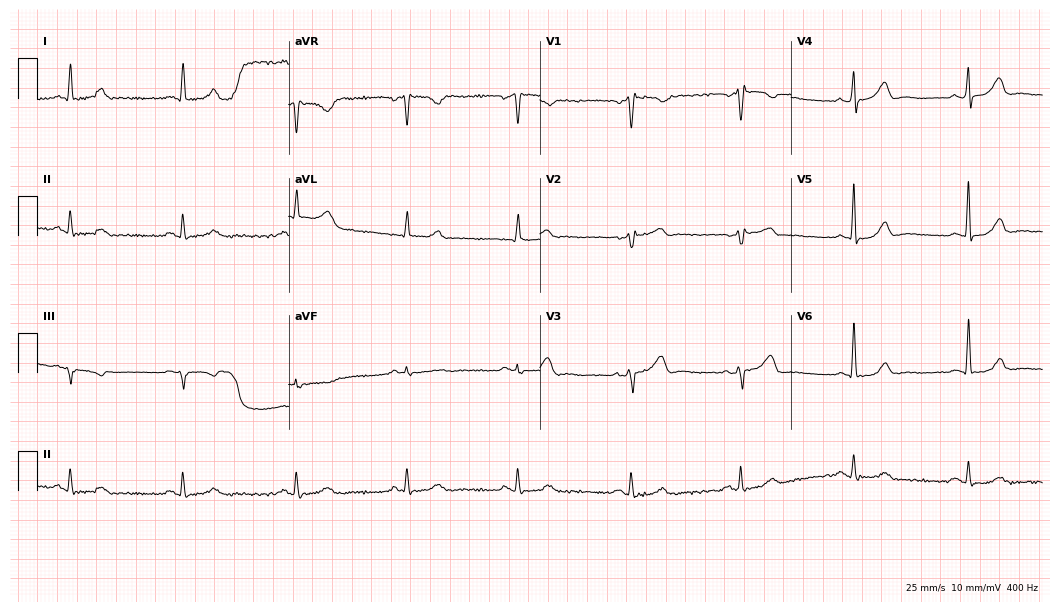
12-lead ECG from a man, 68 years old (10.2-second recording at 400 Hz). Recorded interpretation: within normal limits.